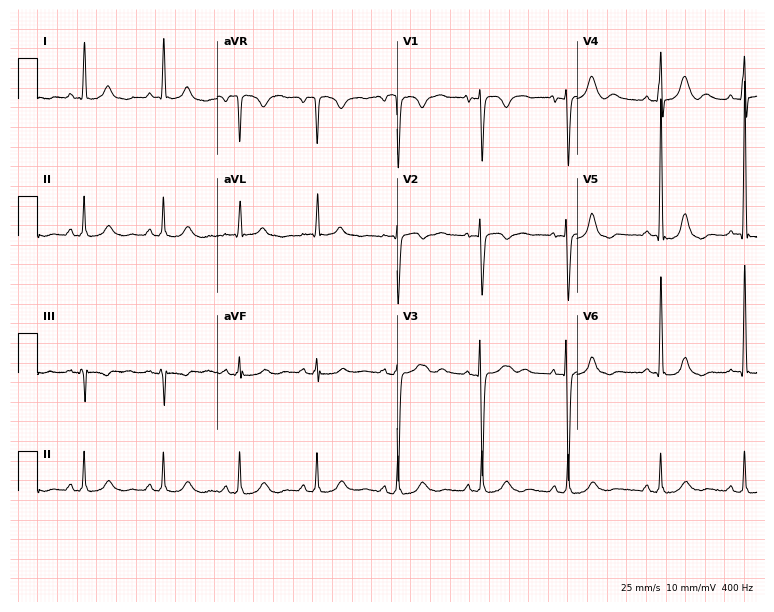
Electrocardiogram (7.3-second recording at 400 Hz), a 69-year-old woman. Of the six screened findings (first-degree AV block, right bundle branch block (RBBB), left bundle branch block (LBBB), sinus bradycardia, atrial fibrillation (AF), sinus tachycardia), none is recorded.